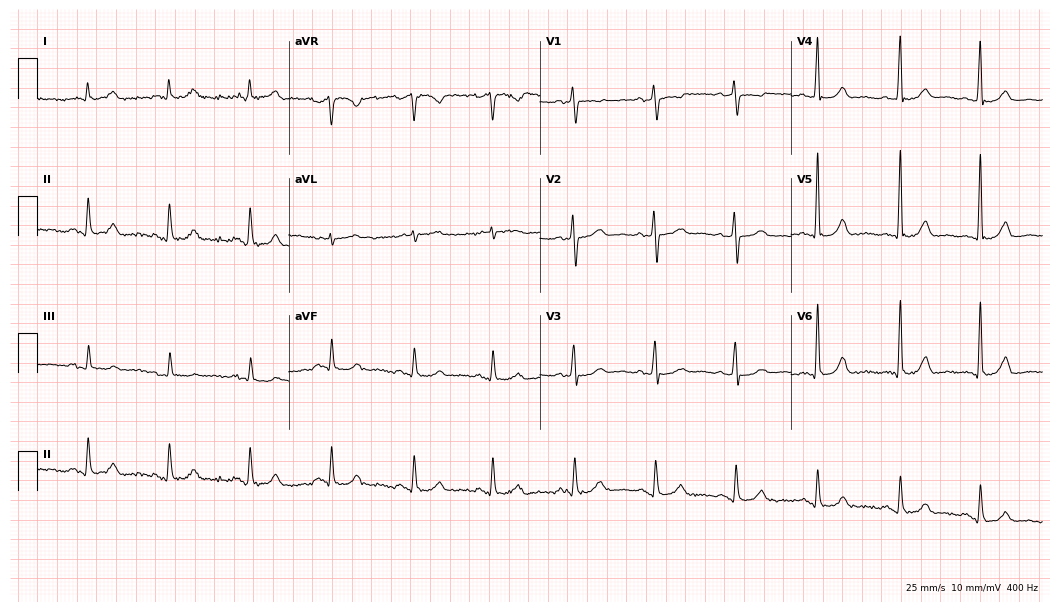
Standard 12-lead ECG recorded from a 66-year-old male (10.2-second recording at 400 Hz). None of these six findings is recorded: first-degree AV block, right bundle branch block (RBBB), left bundle branch block (LBBB), sinus bradycardia, atrial fibrillation (AF), sinus tachycardia.